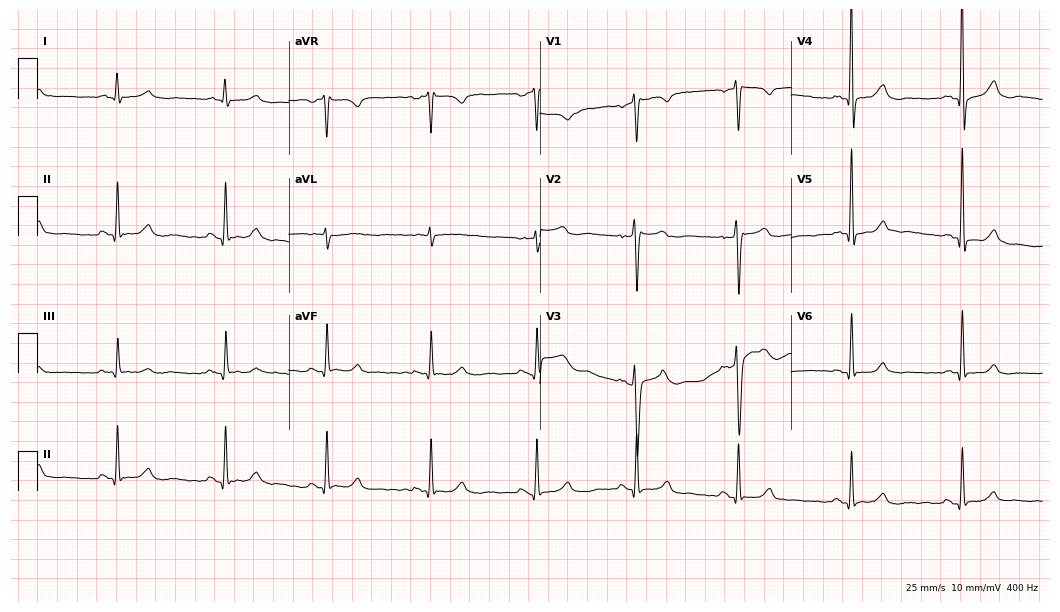
12-lead ECG (10.2-second recording at 400 Hz) from a man, 46 years old. Labelled as a normal ECG.